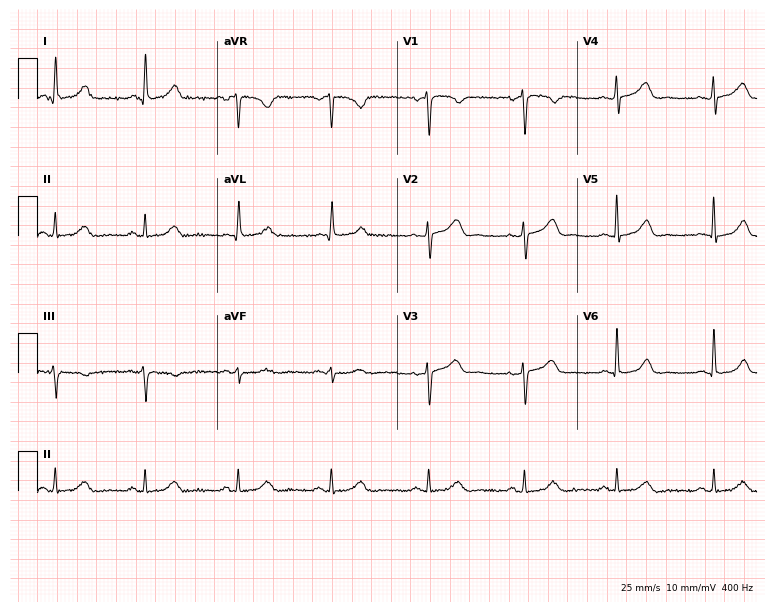
Electrocardiogram, a 44-year-old female patient. Overall reading on record: normal ECG.